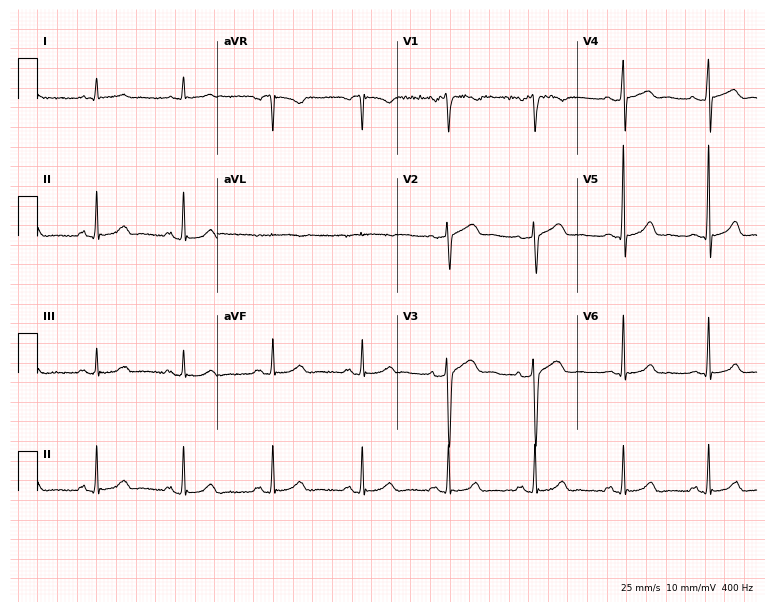
12-lead ECG from a 60-year-old man. Labelled as a normal ECG.